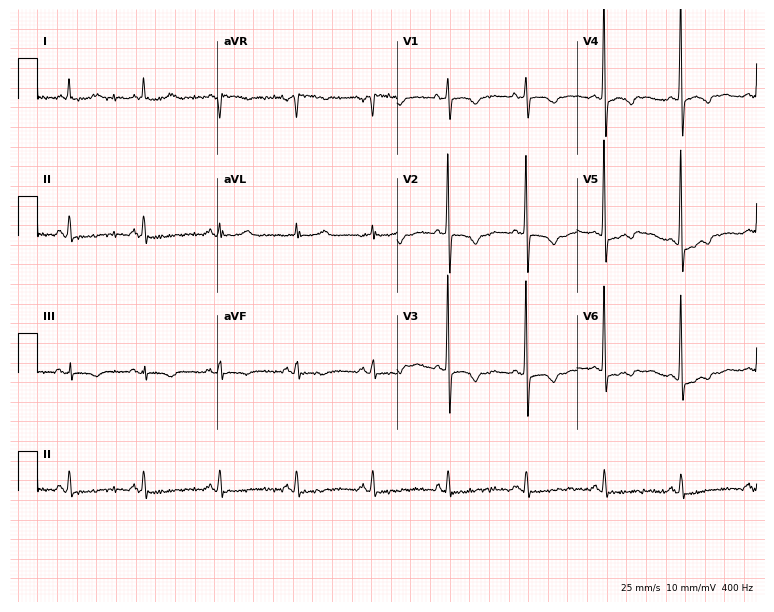
Resting 12-lead electrocardiogram. Patient: a 65-year-old female. None of these six findings is recorded: first-degree AV block, right bundle branch block (RBBB), left bundle branch block (LBBB), sinus bradycardia, atrial fibrillation (AF), sinus tachycardia. Findings outside these six are not listed.